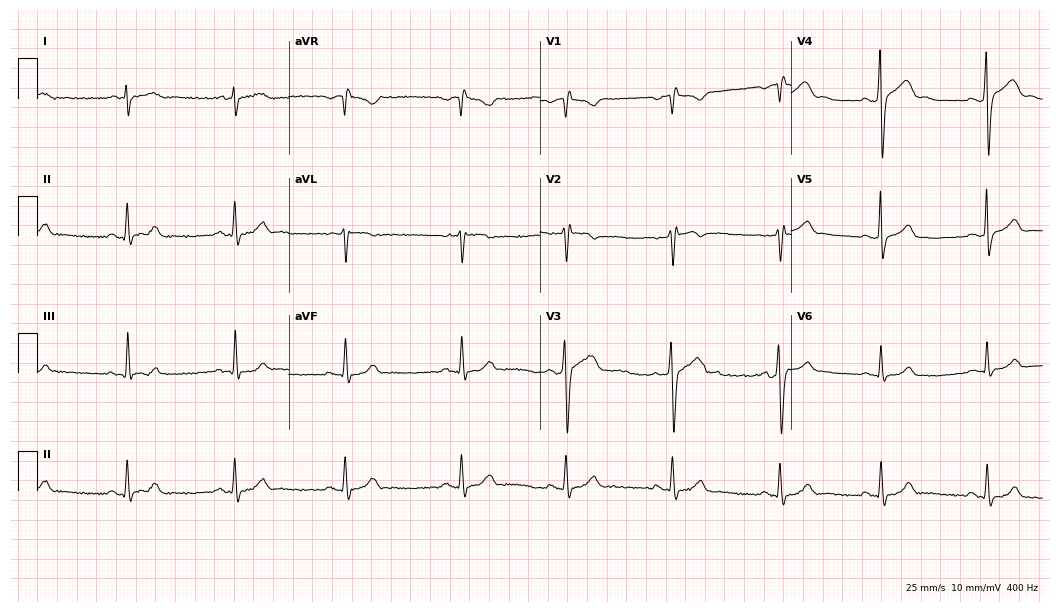
12-lead ECG from a male patient, 31 years old. No first-degree AV block, right bundle branch block (RBBB), left bundle branch block (LBBB), sinus bradycardia, atrial fibrillation (AF) or sinus tachycardia recorded for this tracing.